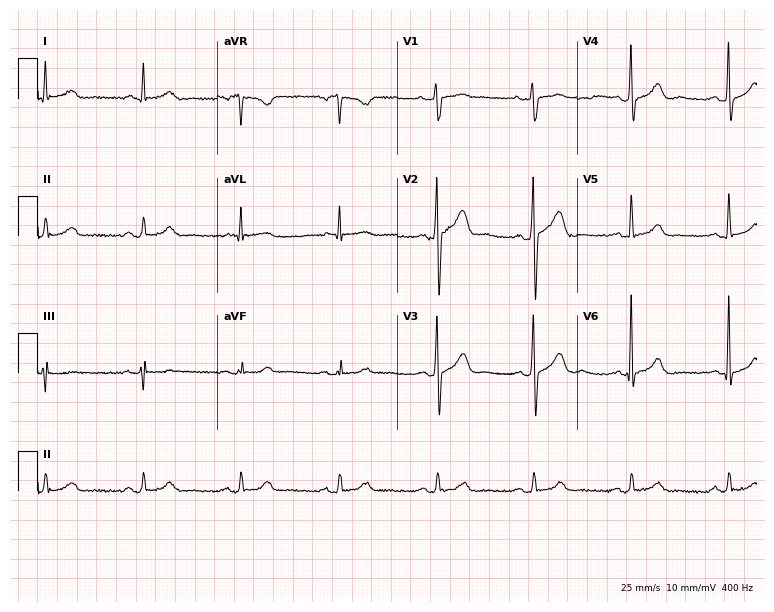
Resting 12-lead electrocardiogram (7.3-second recording at 400 Hz). Patient: a male, 56 years old. Read as a normal ECG.